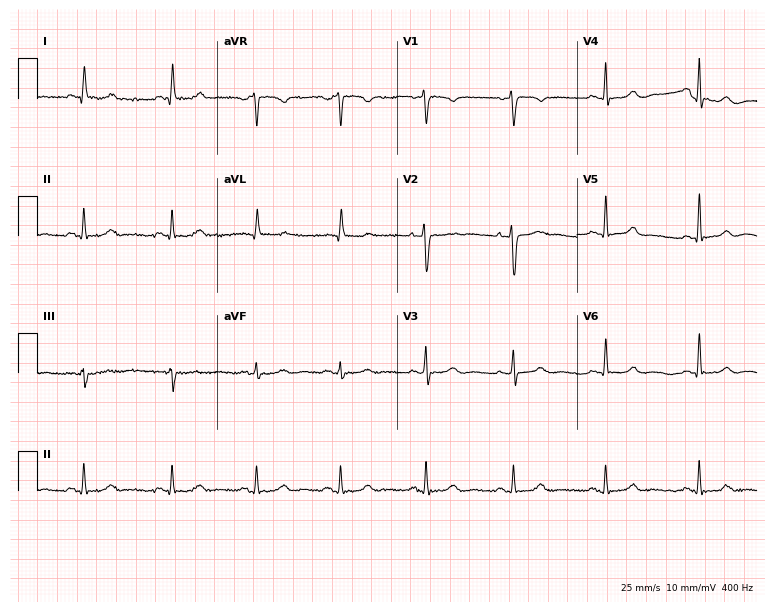
12-lead ECG from a female patient, 47 years old. No first-degree AV block, right bundle branch block, left bundle branch block, sinus bradycardia, atrial fibrillation or sinus tachycardia recorded for this tracing.